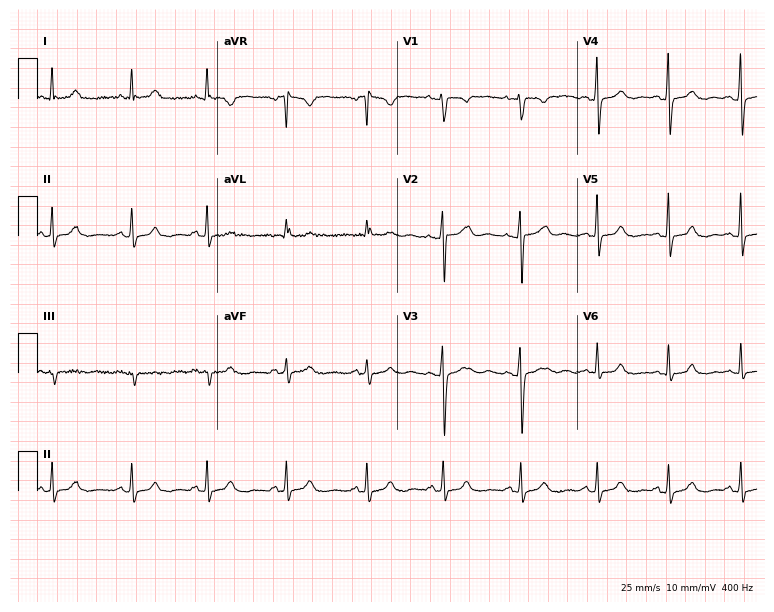
ECG — a 22-year-old female patient. Labelled as a normal ECG.